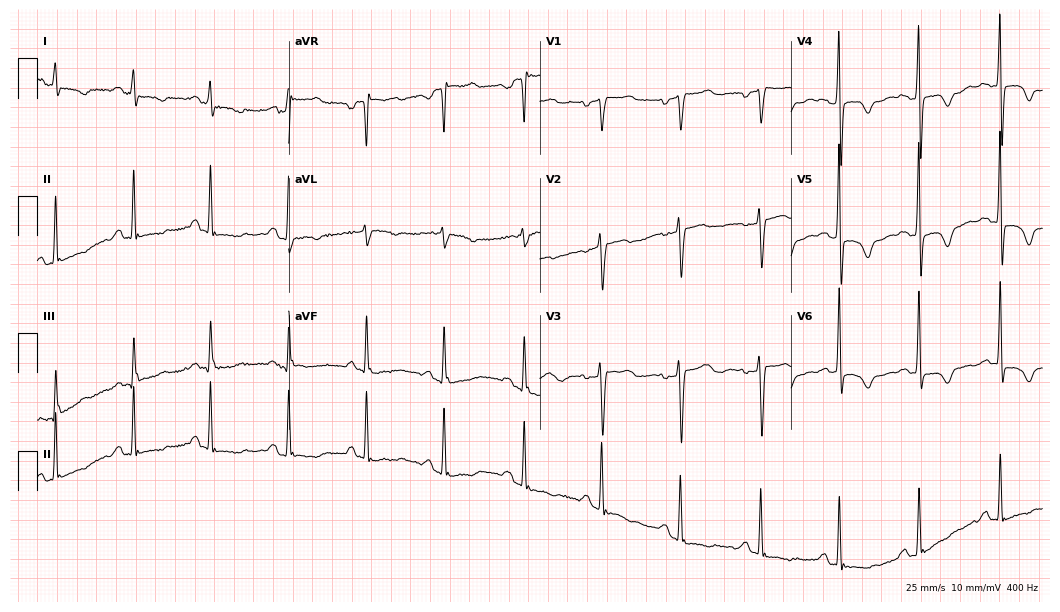
Standard 12-lead ECG recorded from a female, 67 years old. None of these six findings is recorded: first-degree AV block, right bundle branch block (RBBB), left bundle branch block (LBBB), sinus bradycardia, atrial fibrillation (AF), sinus tachycardia.